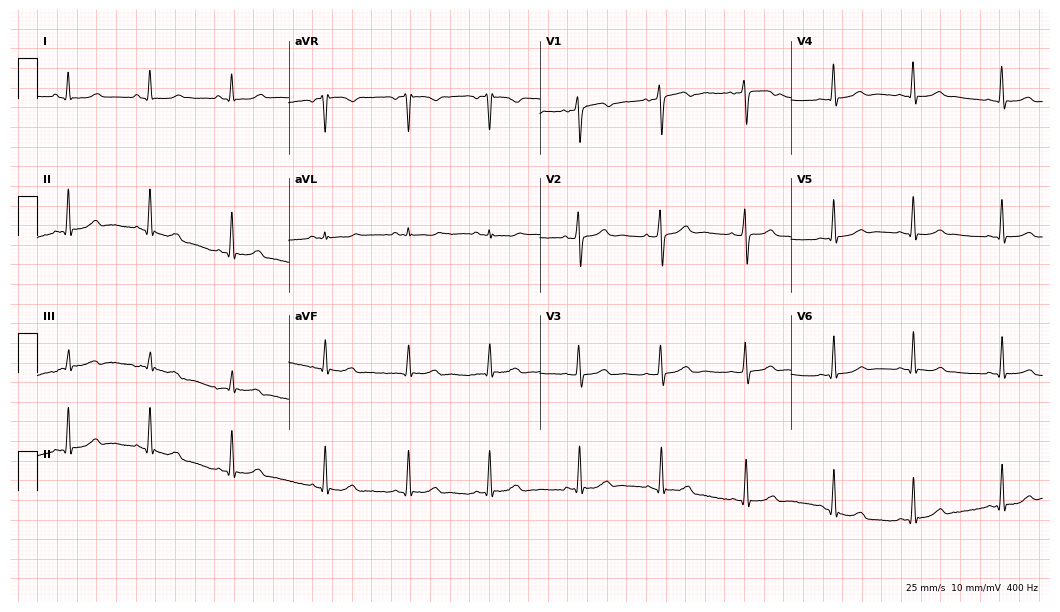
ECG — a female, 21 years old. Screened for six findings — first-degree AV block, right bundle branch block (RBBB), left bundle branch block (LBBB), sinus bradycardia, atrial fibrillation (AF), sinus tachycardia — none is recorded. Findings outside these six are not listed.